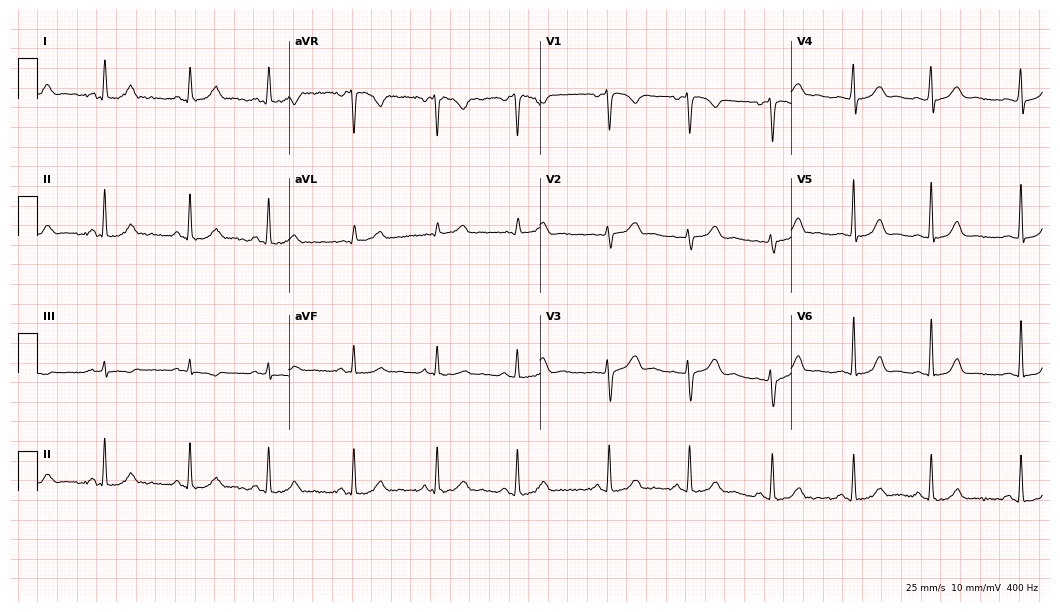
12-lead ECG from a 30-year-old female (10.2-second recording at 400 Hz). No first-degree AV block, right bundle branch block, left bundle branch block, sinus bradycardia, atrial fibrillation or sinus tachycardia recorded for this tracing. Findings outside these six are not listed.